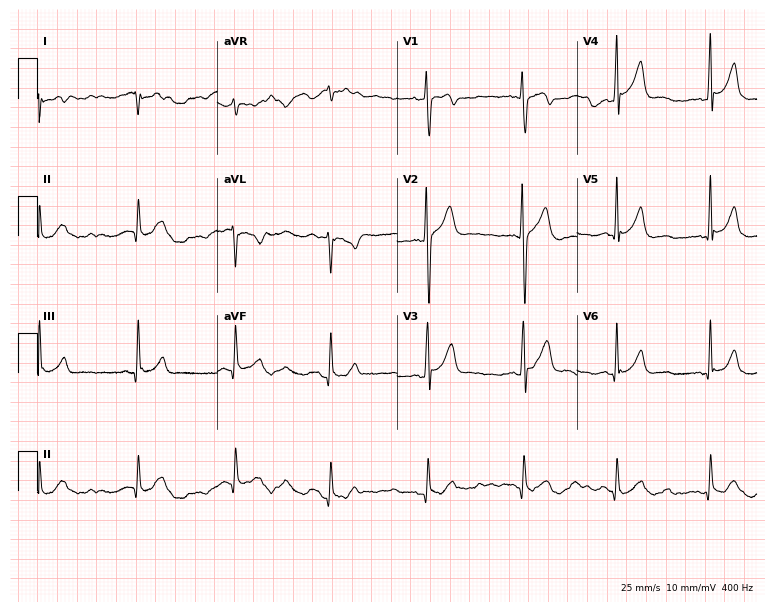
Standard 12-lead ECG recorded from a 25-year-old man. None of these six findings is recorded: first-degree AV block, right bundle branch block (RBBB), left bundle branch block (LBBB), sinus bradycardia, atrial fibrillation (AF), sinus tachycardia.